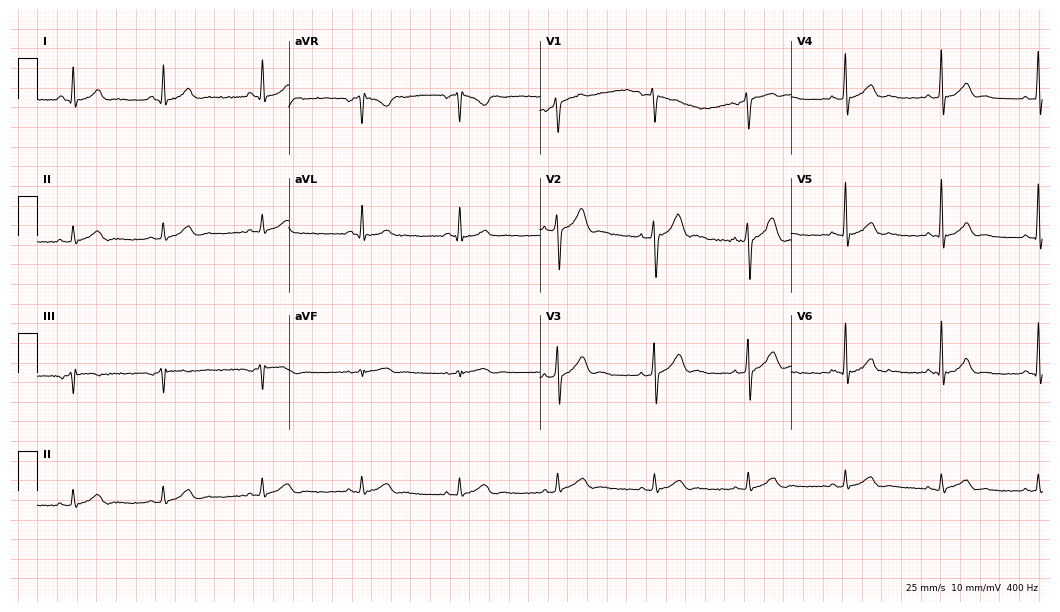
12-lead ECG from a male, 39 years old. Labelled as a normal ECG.